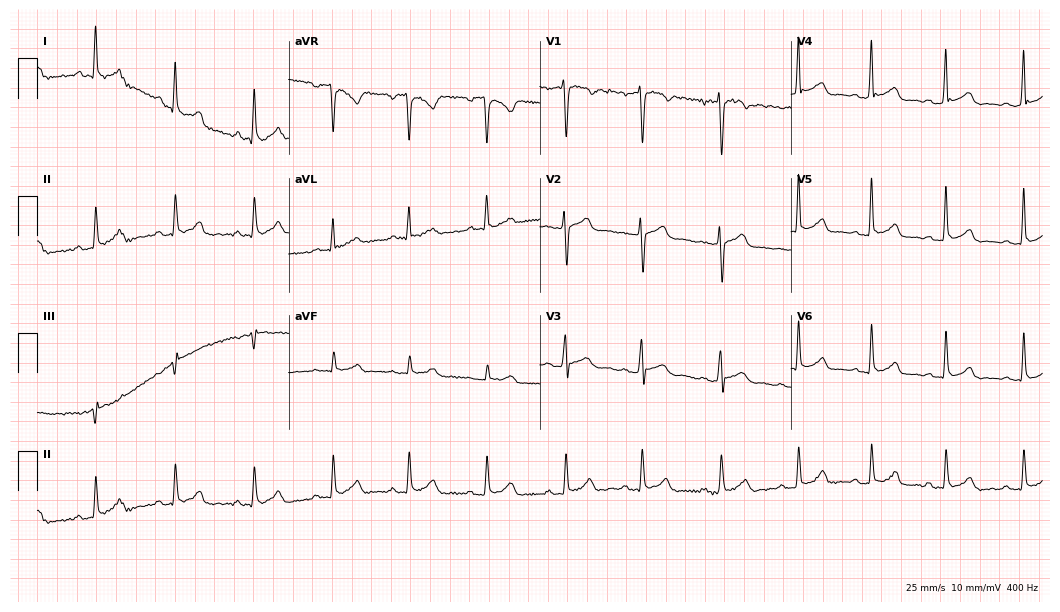
Electrocardiogram (10.2-second recording at 400 Hz), a 28-year-old male patient. Overall reading on record: normal ECG.